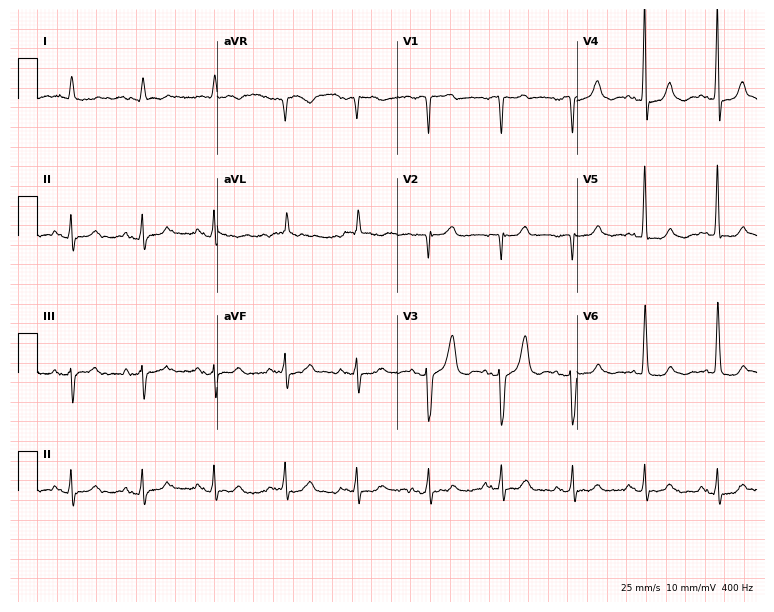
ECG — a woman, 78 years old. Labelled as a normal ECG.